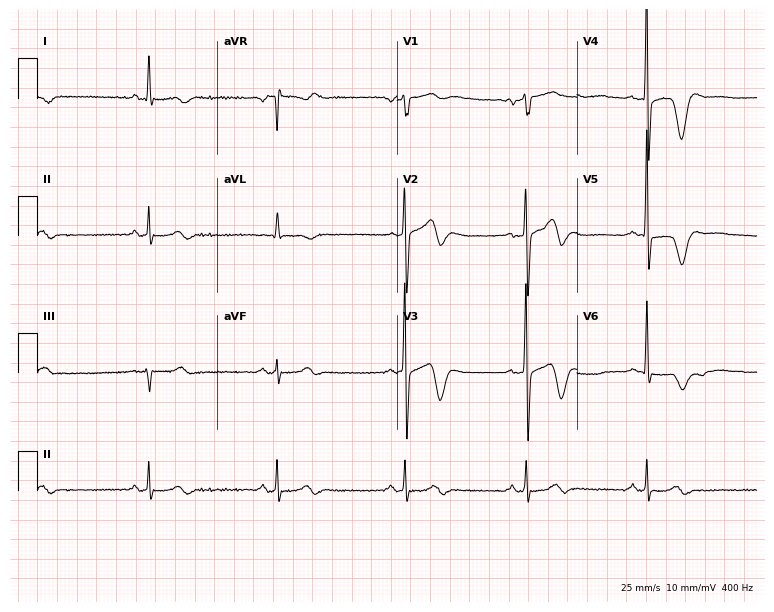
12-lead ECG (7.3-second recording at 400 Hz) from a 71-year-old male. Findings include sinus bradycardia (a sinus rate of 50 beats per minute or less).